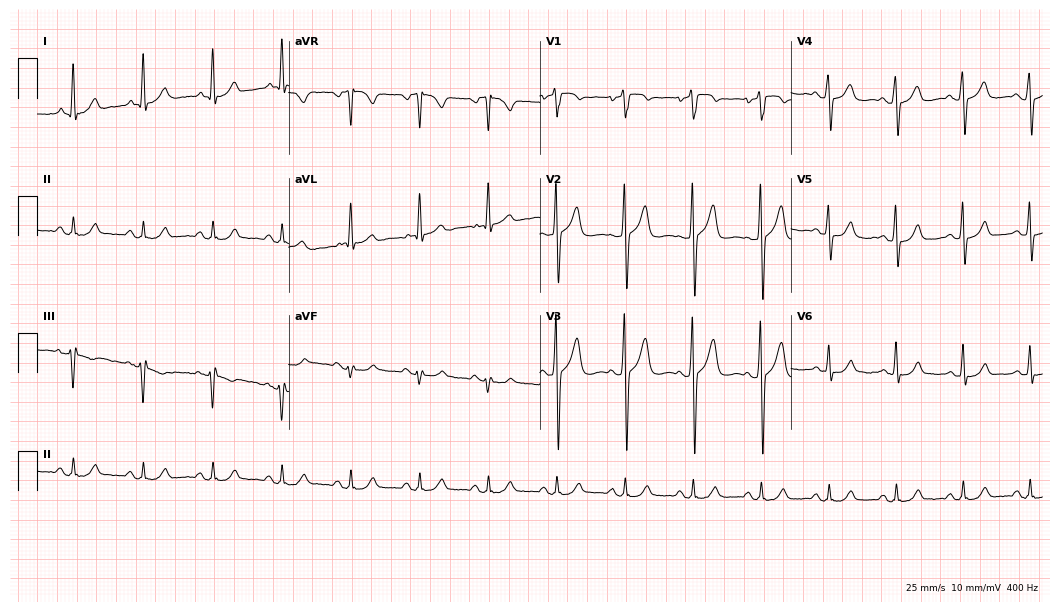
Resting 12-lead electrocardiogram. Patient: a male, 66 years old. None of these six findings is recorded: first-degree AV block, right bundle branch block (RBBB), left bundle branch block (LBBB), sinus bradycardia, atrial fibrillation (AF), sinus tachycardia.